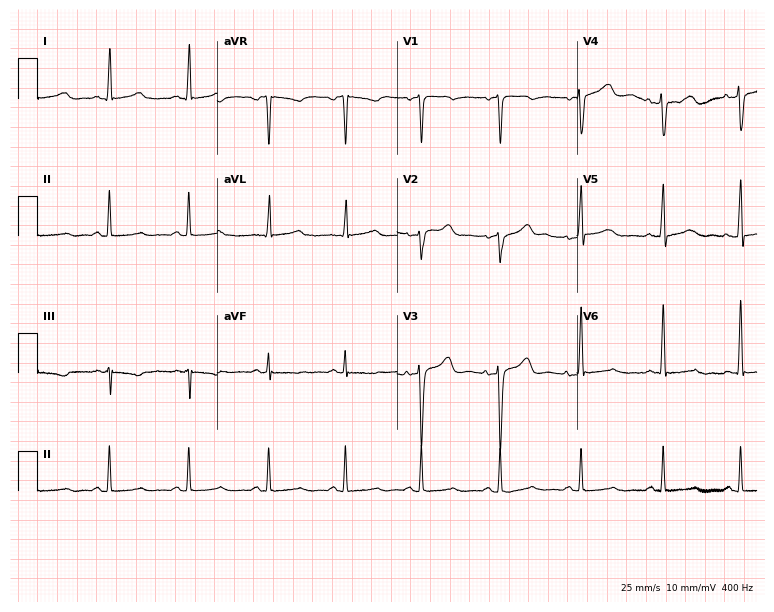
Electrocardiogram (7.3-second recording at 400 Hz), a female, 34 years old. Of the six screened findings (first-degree AV block, right bundle branch block, left bundle branch block, sinus bradycardia, atrial fibrillation, sinus tachycardia), none is recorded.